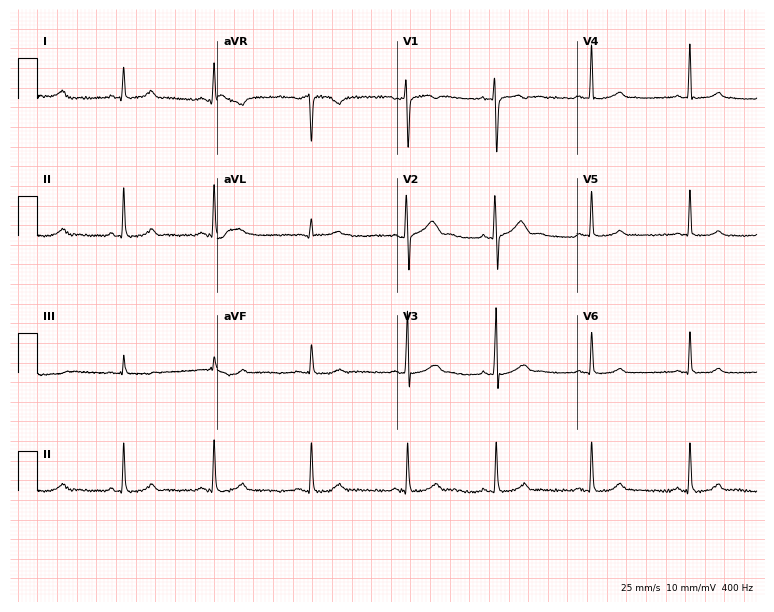
Standard 12-lead ECG recorded from an 18-year-old female patient (7.3-second recording at 400 Hz). None of these six findings is recorded: first-degree AV block, right bundle branch block (RBBB), left bundle branch block (LBBB), sinus bradycardia, atrial fibrillation (AF), sinus tachycardia. Findings outside these six are not listed.